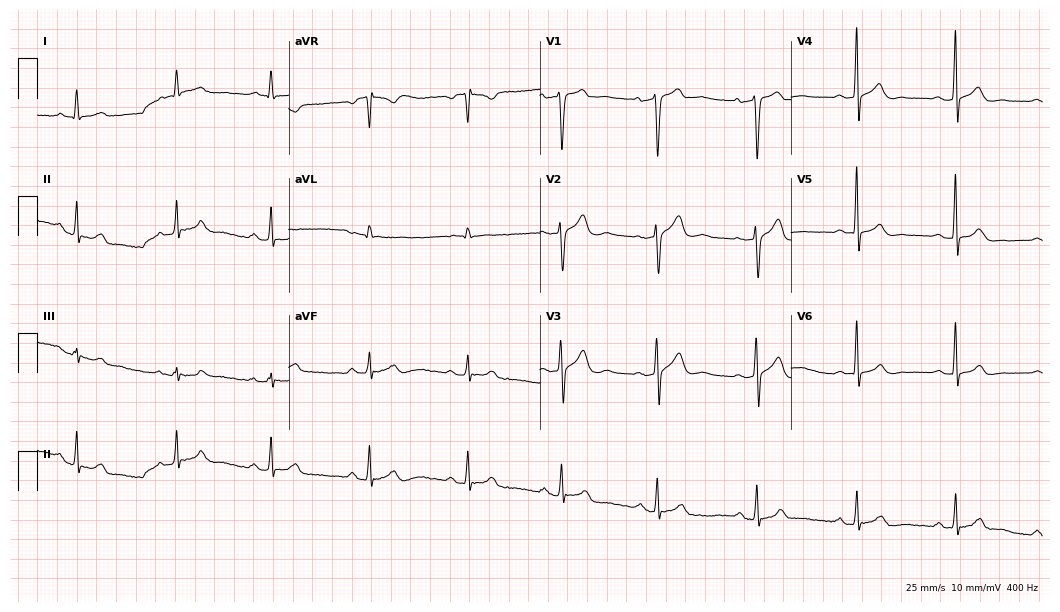
ECG — a 42-year-old man. Labelled as a normal ECG.